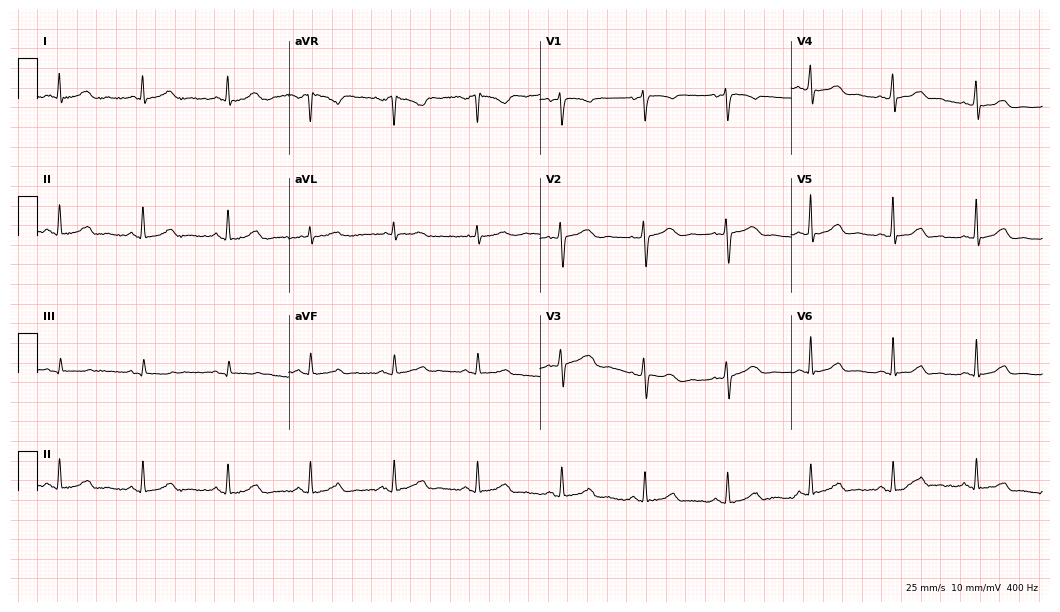
Standard 12-lead ECG recorded from a 50-year-old woman. Read as a normal ECG.